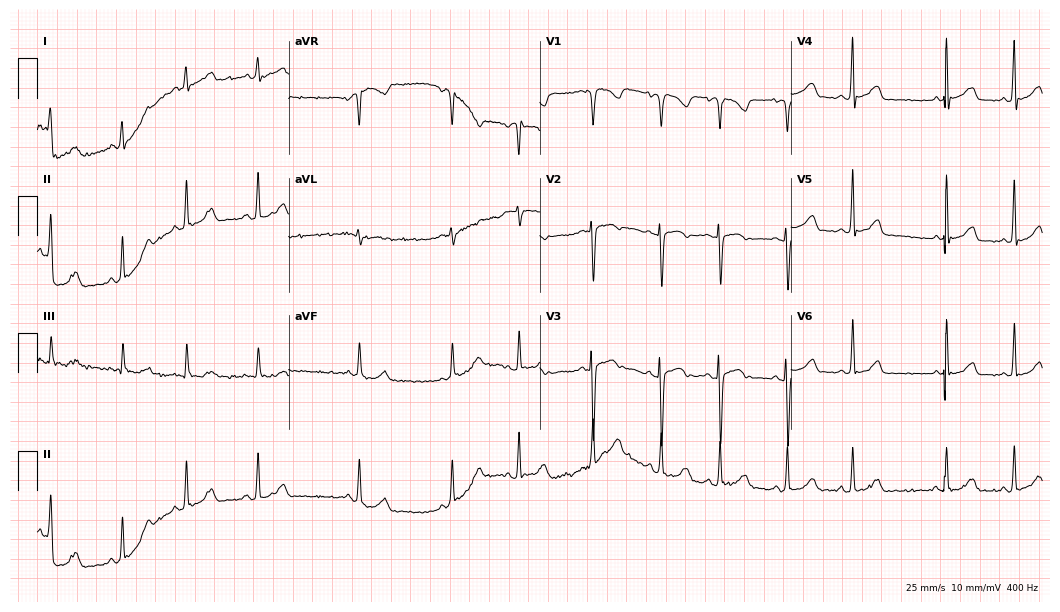
Standard 12-lead ECG recorded from a male, 25 years old (10.2-second recording at 400 Hz). Read as a normal ECG.